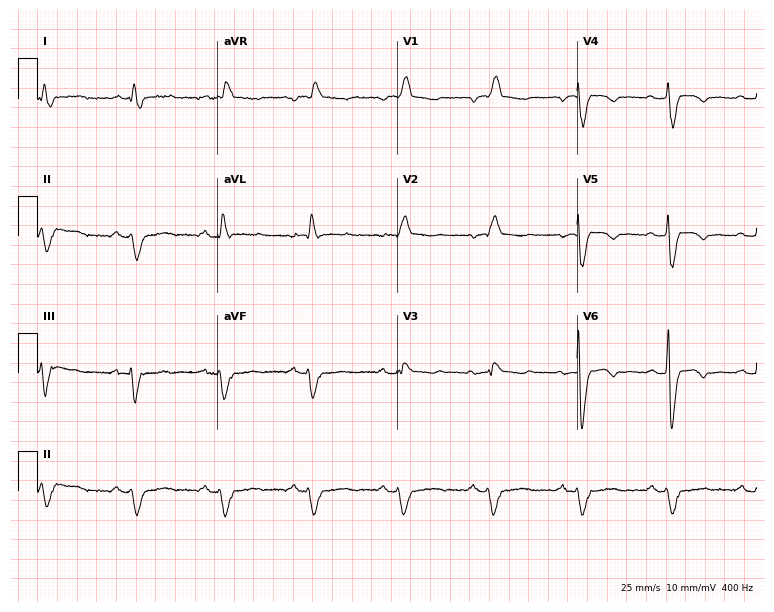
12-lead ECG (7.3-second recording at 400 Hz) from a 64-year-old man. Findings include right bundle branch block.